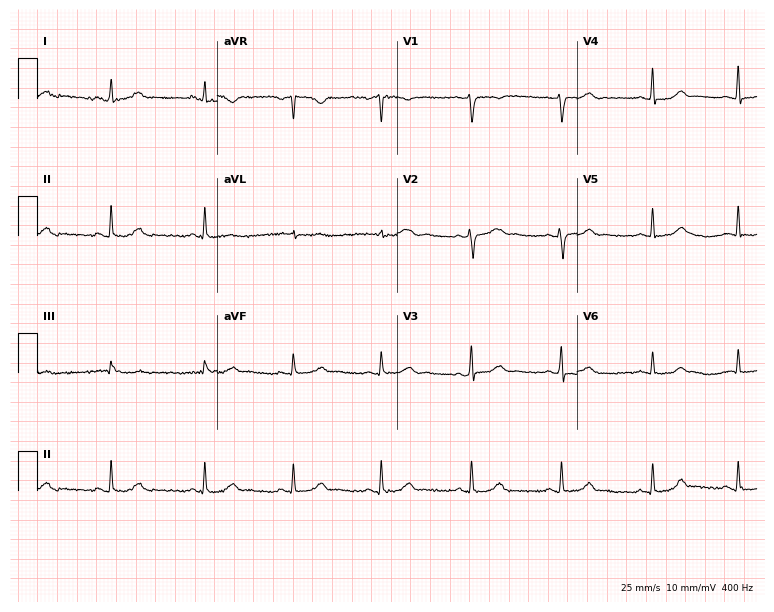
Resting 12-lead electrocardiogram (7.3-second recording at 400 Hz). Patient: a 38-year-old woman. Read as a normal ECG.